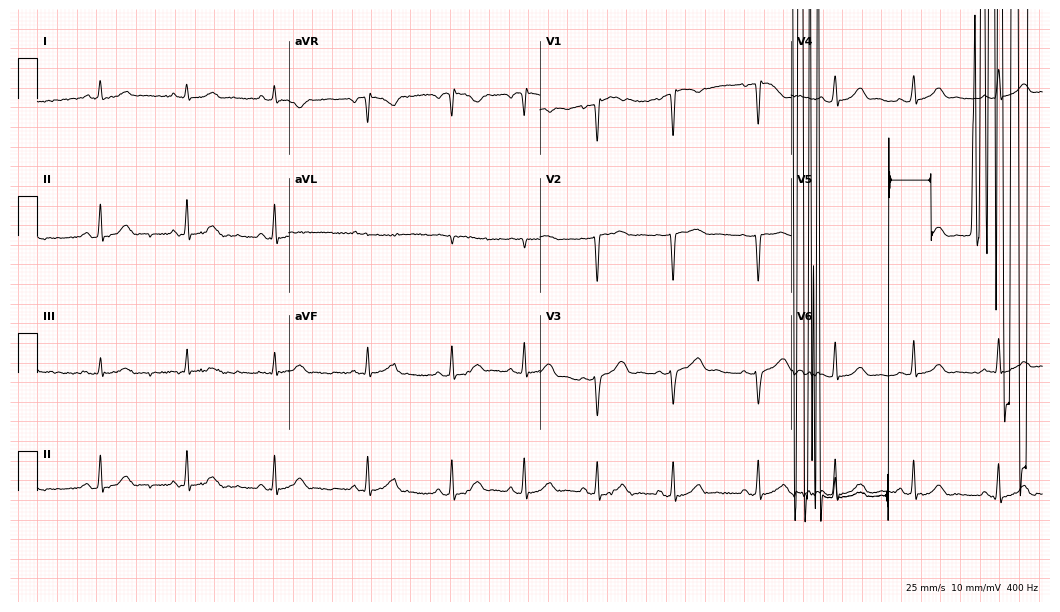
Electrocardiogram (10.2-second recording at 400 Hz), a female patient, 25 years old. Of the six screened findings (first-degree AV block, right bundle branch block (RBBB), left bundle branch block (LBBB), sinus bradycardia, atrial fibrillation (AF), sinus tachycardia), none is recorded.